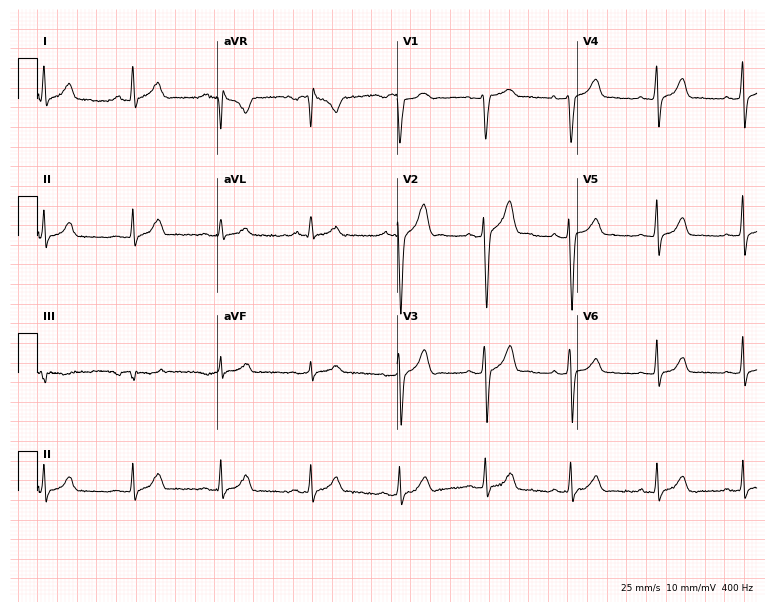
12-lead ECG from a 25-year-old man. No first-degree AV block, right bundle branch block, left bundle branch block, sinus bradycardia, atrial fibrillation or sinus tachycardia recorded for this tracing. Only these six findings were labelled.